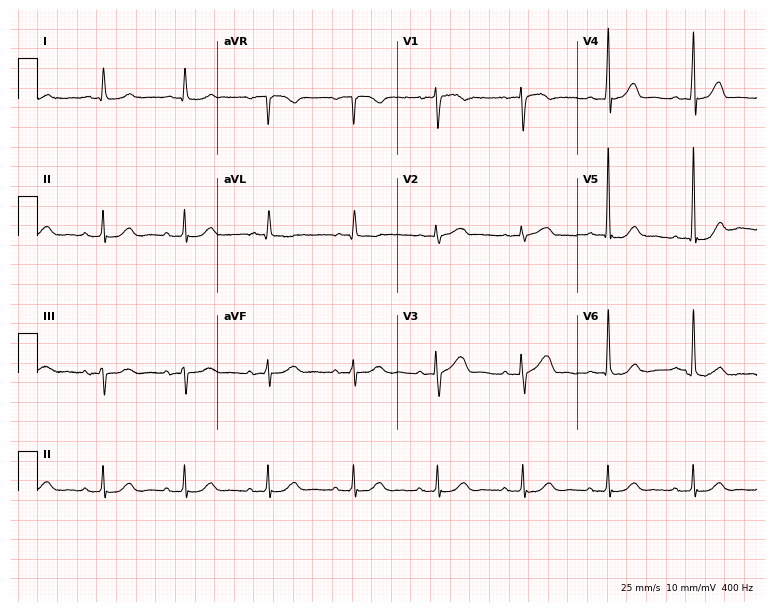
Electrocardiogram (7.3-second recording at 400 Hz), a 77-year-old female patient. Overall reading on record: normal ECG.